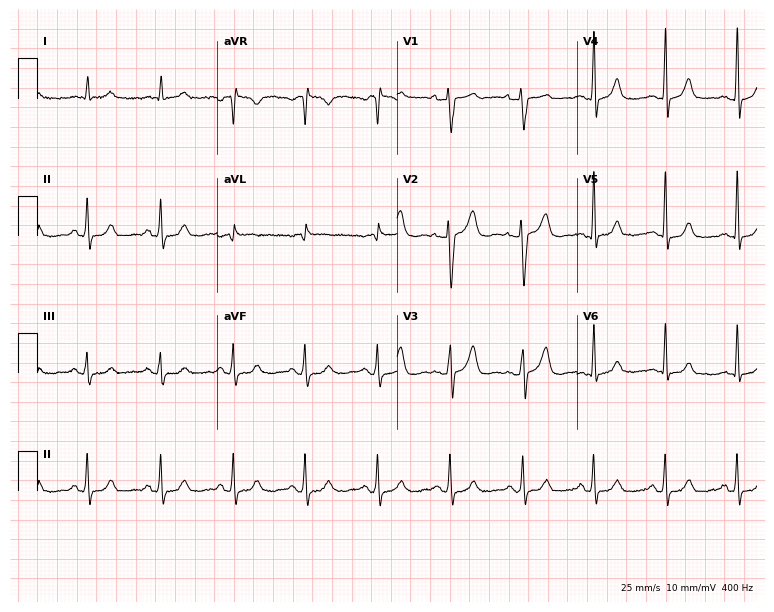
12-lead ECG from a 76-year-old male. Screened for six findings — first-degree AV block, right bundle branch block, left bundle branch block, sinus bradycardia, atrial fibrillation, sinus tachycardia — none is recorded. Findings outside these six are not listed.